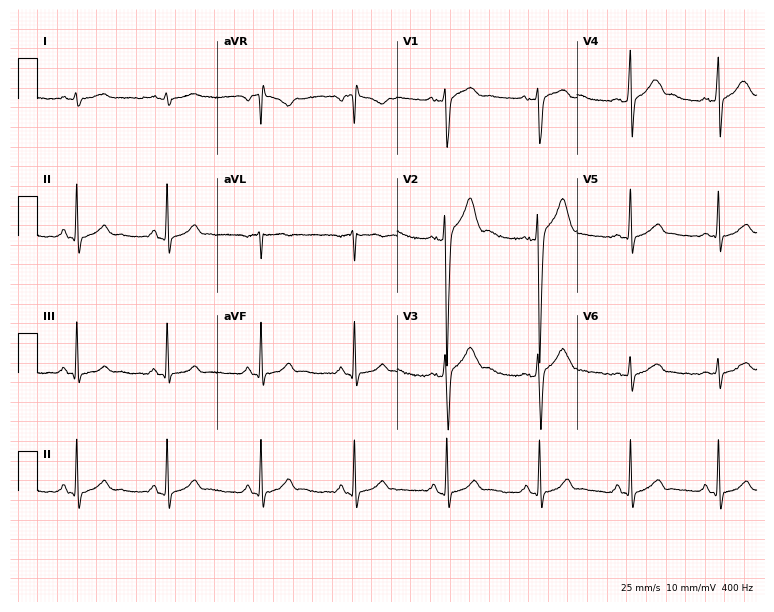
ECG — a 30-year-old male patient. Screened for six findings — first-degree AV block, right bundle branch block, left bundle branch block, sinus bradycardia, atrial fibrillation, sinus tachycardia — none is recorded.